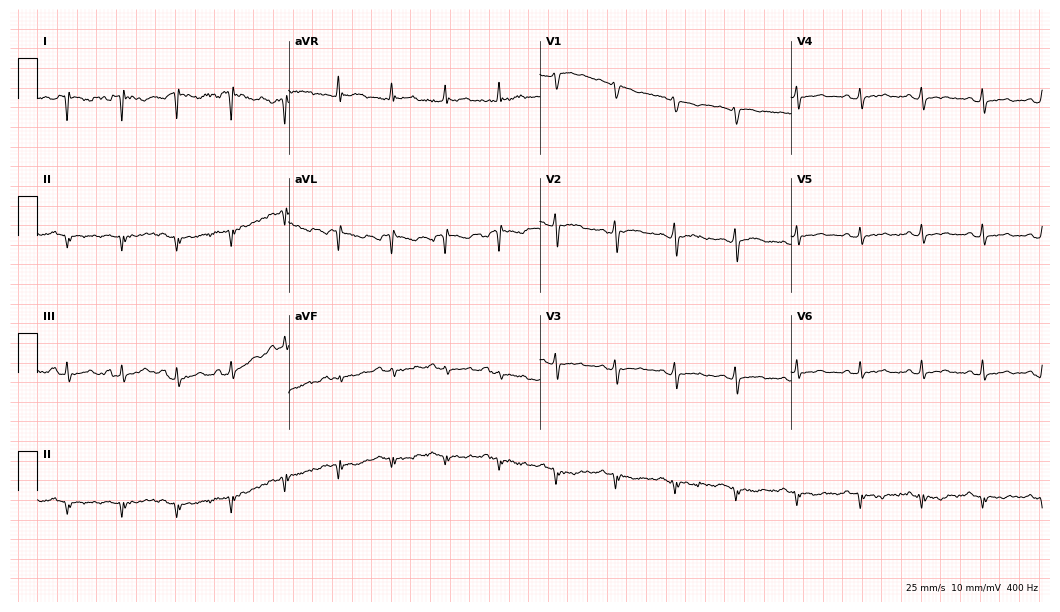
12-lead ECG from a 40-year-old female (10.2-second recording at 400 Hz). No first-degree AV block, right bundle branch block, left bundle branch block, sinus bradycardia, atrial fibrillation or sinus tachycardia recorded for this tracing. Other findings, if any, are not listed.